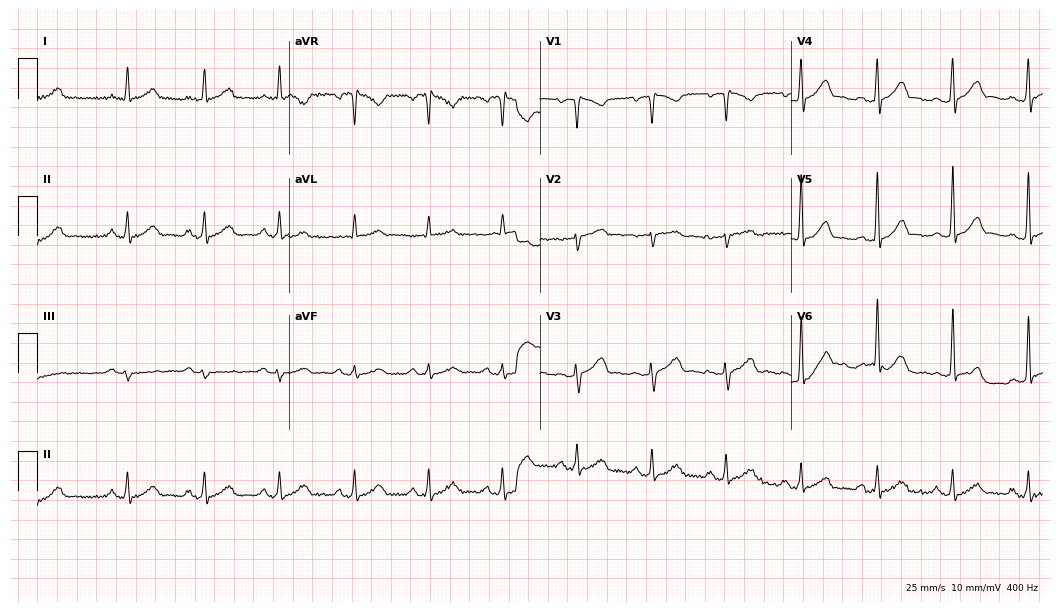
Electrocardiogram (10.2-second recording at 400 Hz), a 61-year-old male patient. Of the six screened findings (first-degree AV block, right bundle branch block, left bundle branch block, sinus bradycardia, atrial fibrillation, sinus tachycardia), none is recorded. Findings outside these six are not listed.